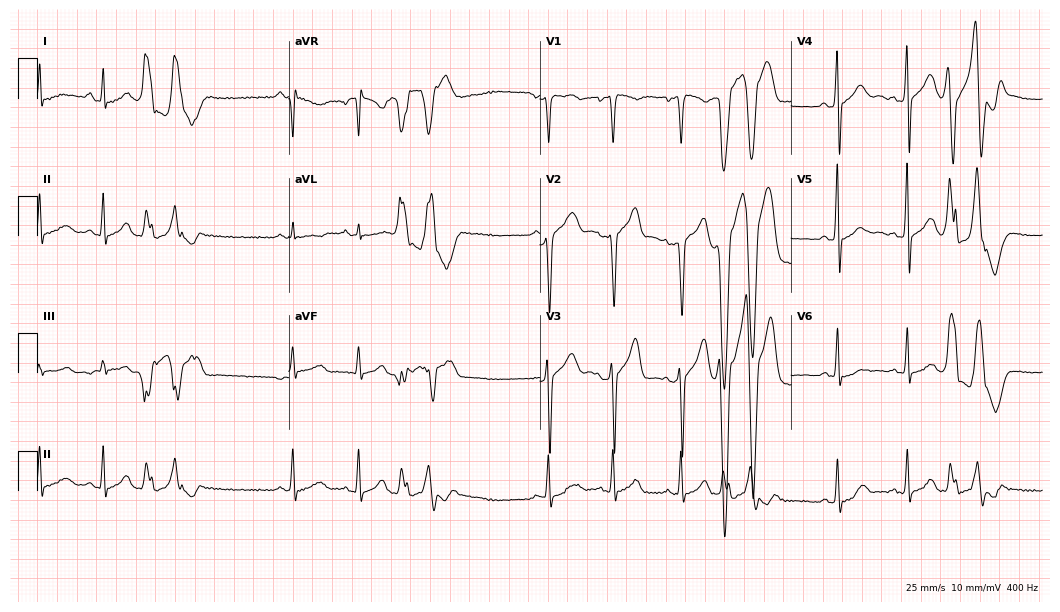
Electrocardiogram (10.2-second recording at 400 Hz), a man, 39 years old. Of the six screened findings (first-degree AV block, right bundle branch block (RBBB), left bundle branch block (LBBB), sinus bradycardia, atrial fibrillation (AF), sinus tachycardia), none is recorded. Other findings, if any, are not listed.